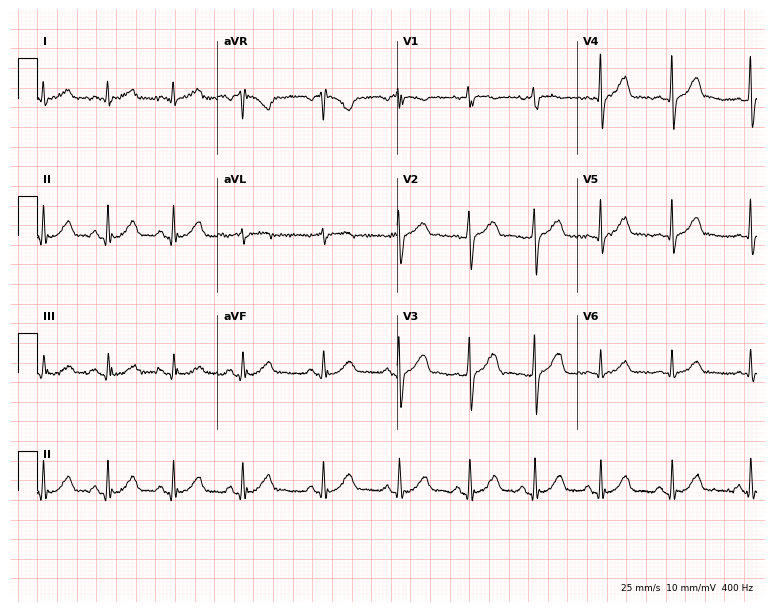
Standard 12-lead ECG recorded from a female patient, 60 years old (7.3-second recording at 400 Hz). None of these six findings is recorded: first-degree AV block, right bundle branch block (RBBB), left bundle branch block (LBBB), sinus bradycardia, atrial fibrillation (AF), sinus tachycardia. Other findings, if any, are not listed.